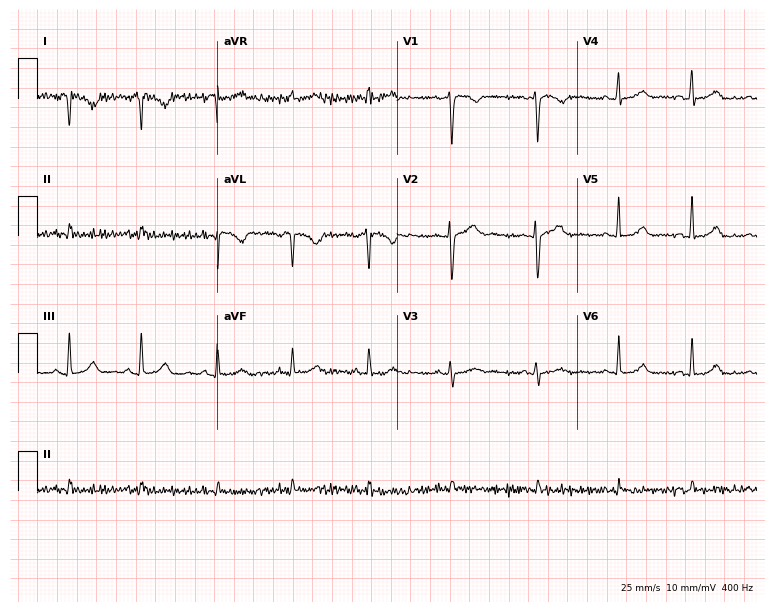
ECG (7.3-second recording at 400 Hz) — a 28-year-old female patient. Screened for six findings — first-degree AV block, right bundle branch block (RBBB), left bundle branch block (LBBB), sinus bradycardia, atrial fibrillation (AF), sinus tachycardia — none is recorded.